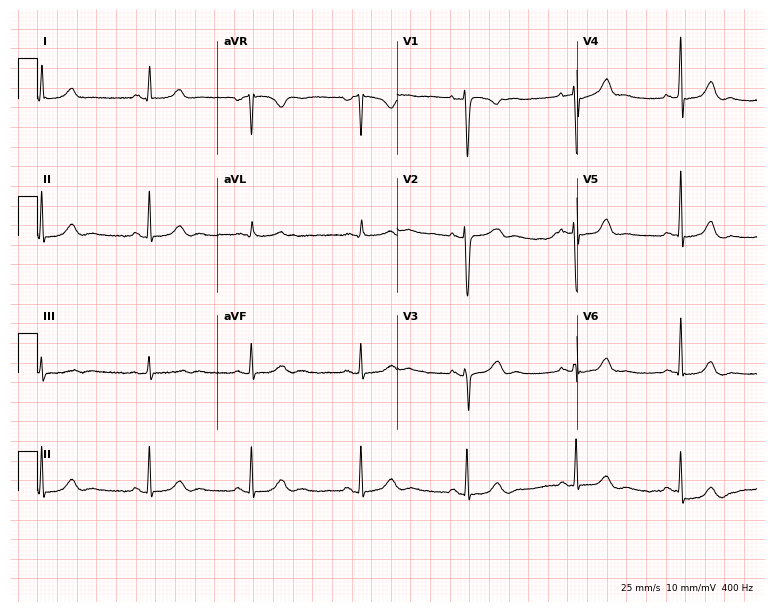
12-lead ECG (7.3-second recording at 400 Hz) from a woman, 31 years old. Screened for six findings — first-degree AV block, right bundle branch block, left bundle branch block, sinus bradycardia, atrial fibrillation, sinus tachycardia — none is recorded.